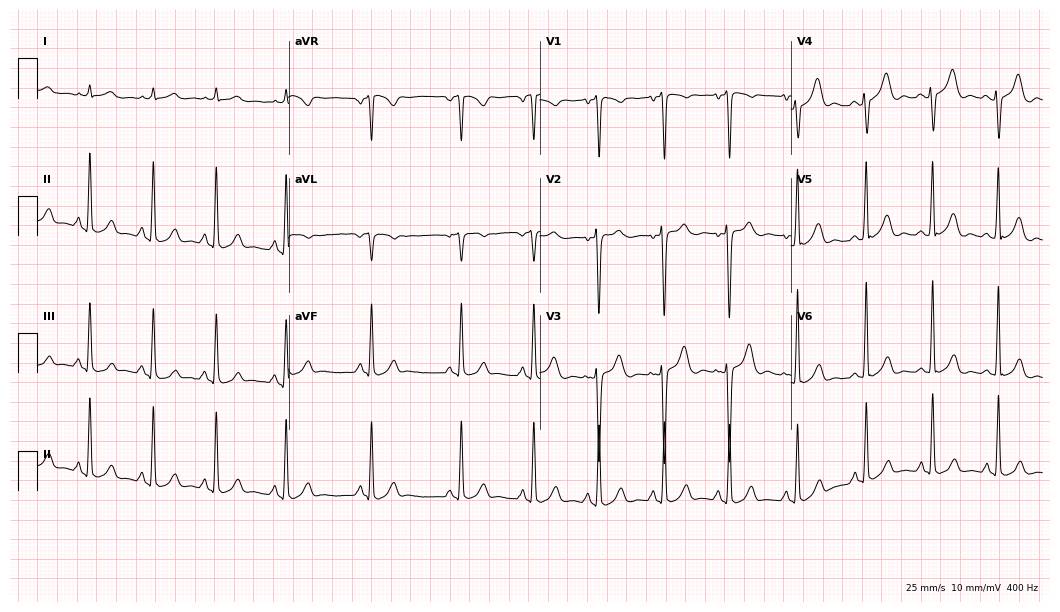
12-lead ECG from a man, 18 years old (10.2-second recording at 400 Hz). Recorded interpretation: within normal limits.